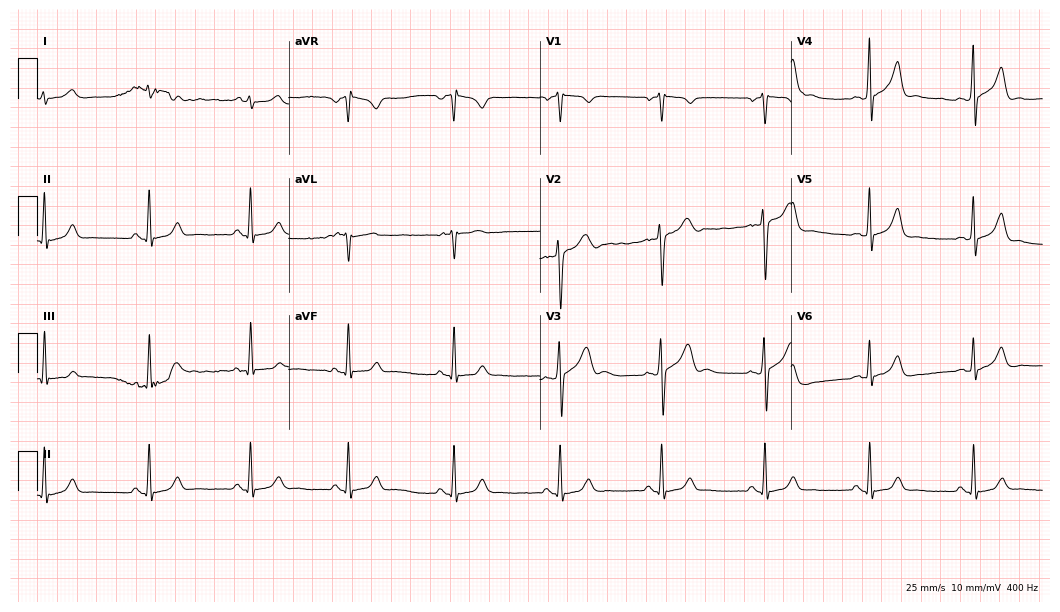
12-lead ECG (10.2-second recording at 400 Hz) from a man, 31 years old. Screened for six findings — first-degree AV block, right bundle branch block, left bundle branch block, sinus bradycardia, atrial fibrillation, sinus tachycardia — none is recorded.